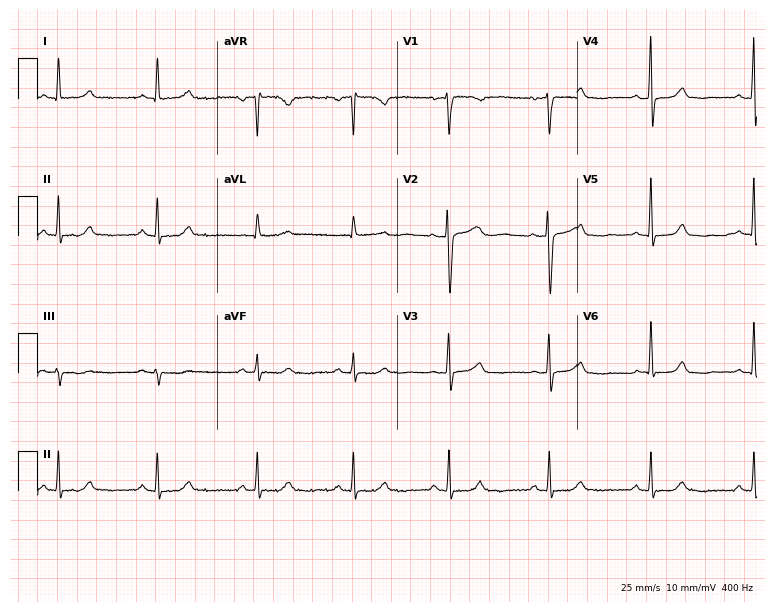
12-lead ECG from a 41-year-old woman. Labelled as a normal ECG.